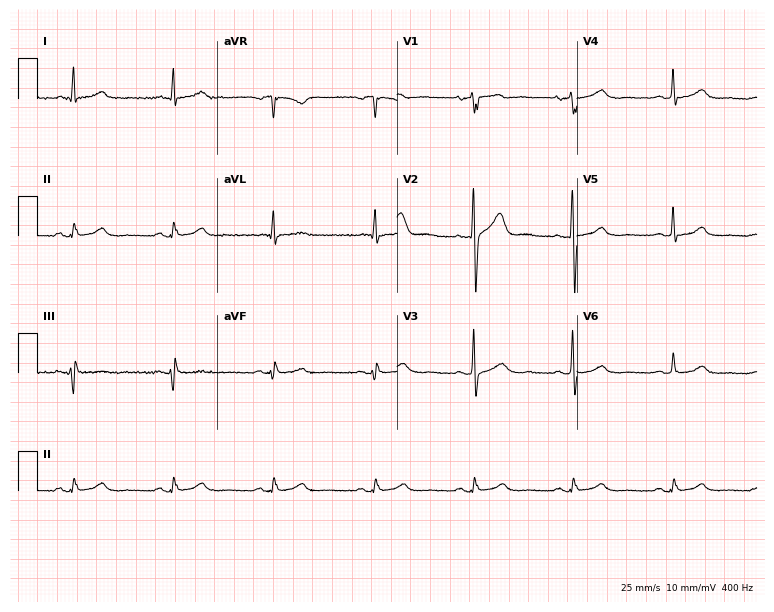
ECG — a male, 53 years old. Labelled as a normal ECG.